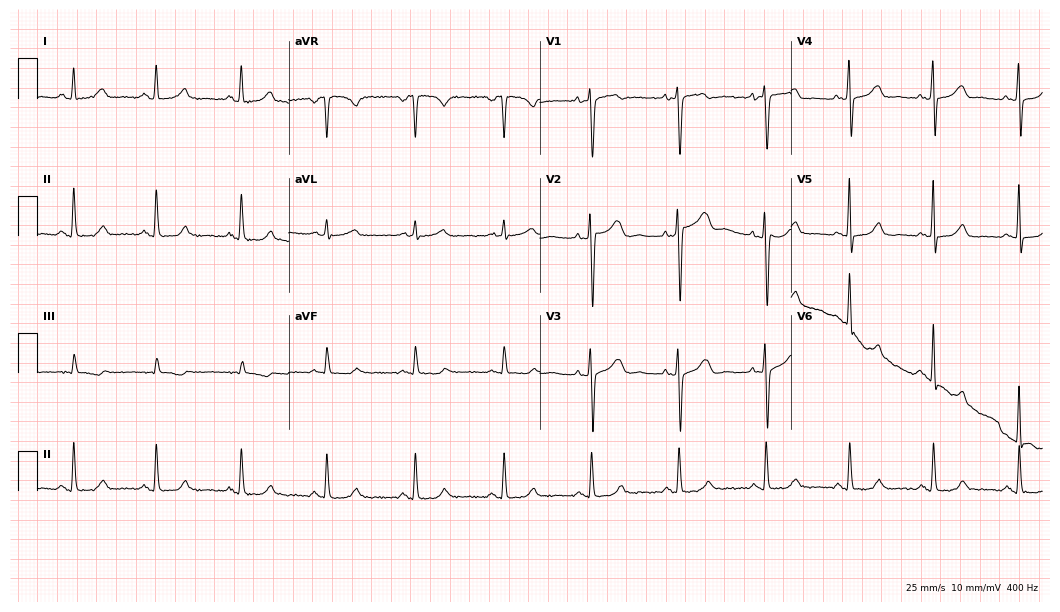
ECG (10.2-second recording at 400 Hz) — a female, 48 years old. Labelled as a normal ECG.